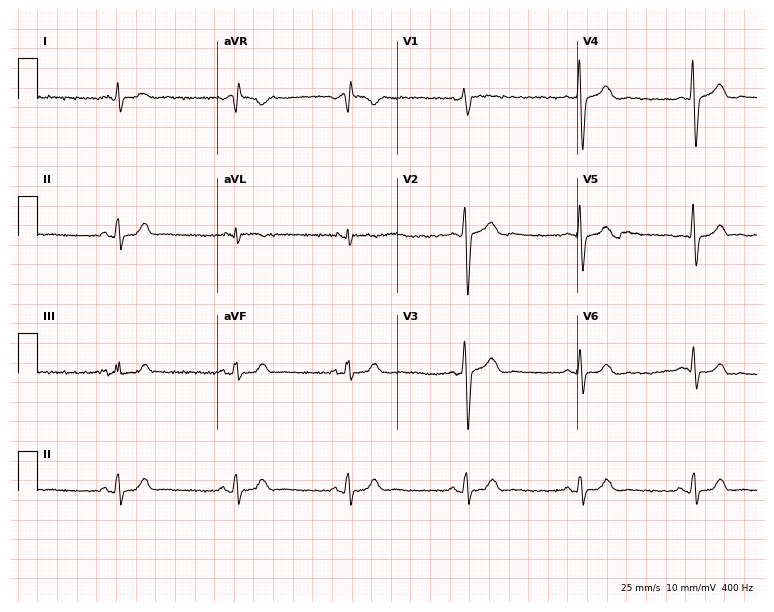
12-lead ECG from a 36-year-old woman. Recorded interpretation: within normal limits.